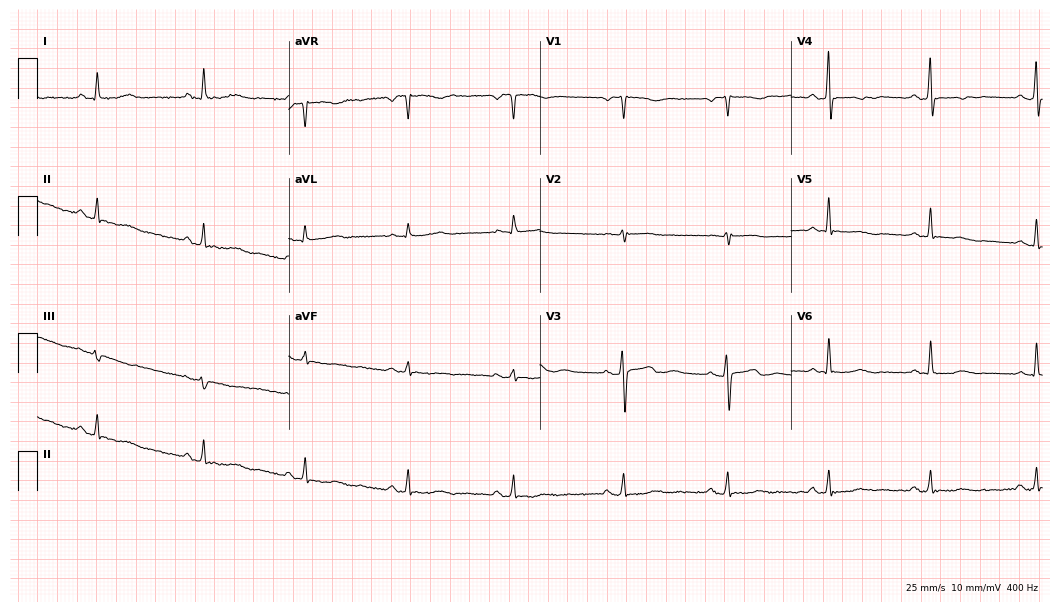
12-lead ECG from a female, 60 years old (10.2-second recording at 400 Hz). No first-degree AV block, right bundle branch block (RBBB), left bundle branch block (LBBB), sinus bradycardia, atrial fibrillation (AF) or sinus tachycardia recorded for this tracing. Only these six findings were labelled.